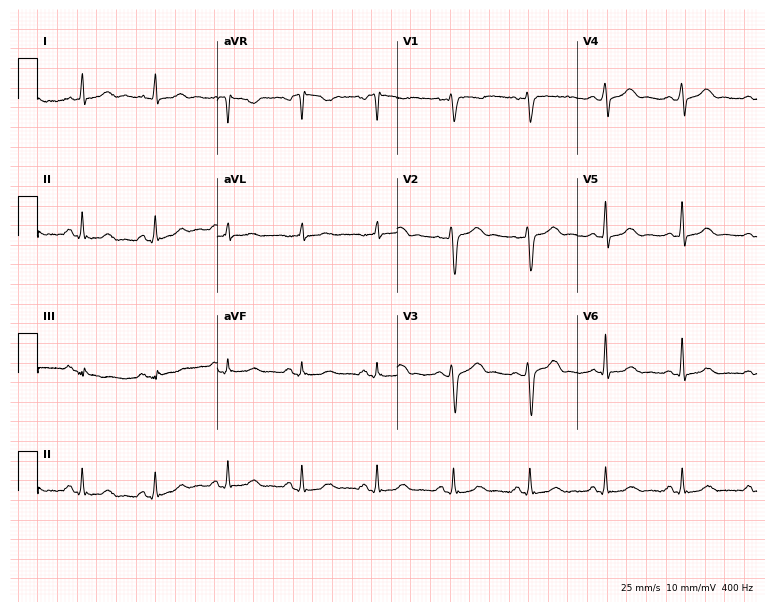
Resting 12-lead electrocardiogram. Patient: a 34-year-old female. None of these six findings is recorded: first-degree AV block, right bundle branch block, left bundle branch block, sinus bradycardia, atrial fibrillation, sinus tachycardia.